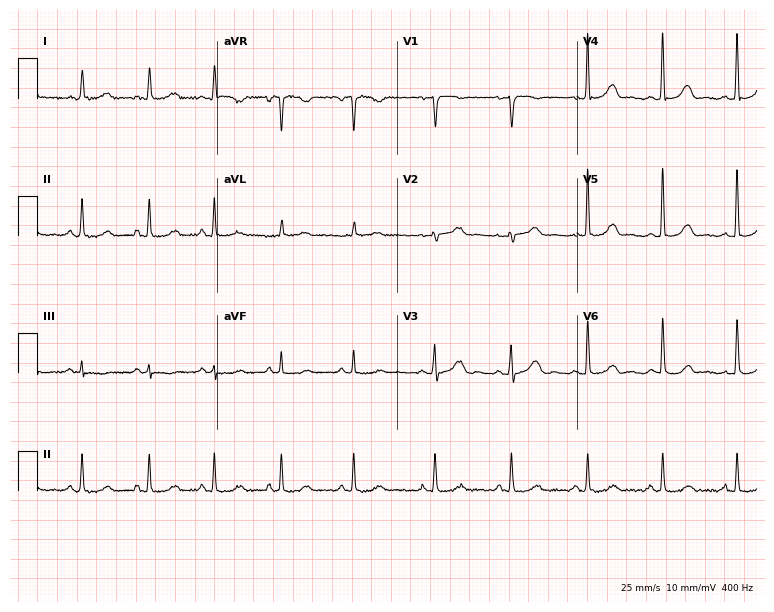
Electrocardiogram (7.3-second recording at 400 Hz), a 66-year-old woman. Overall reading on record: normal ECG.